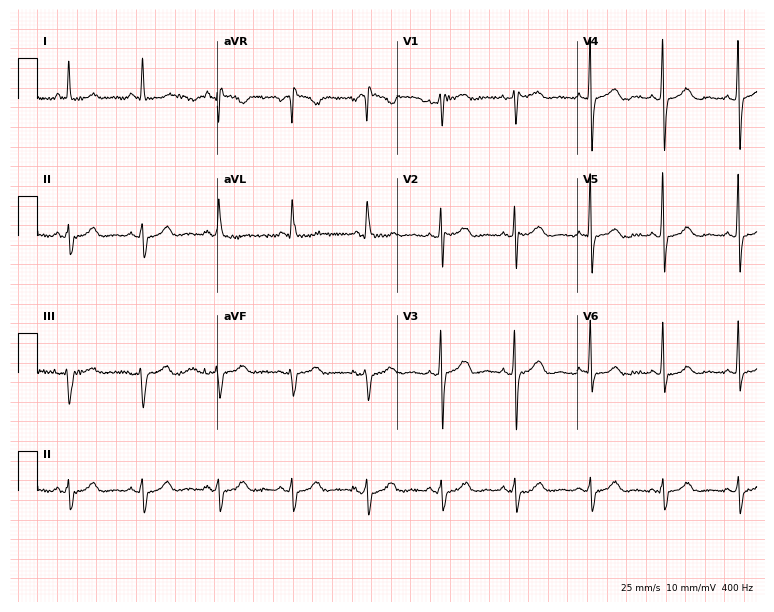
ECG — a woman, 46 years old. Labelled as a normal ECG.